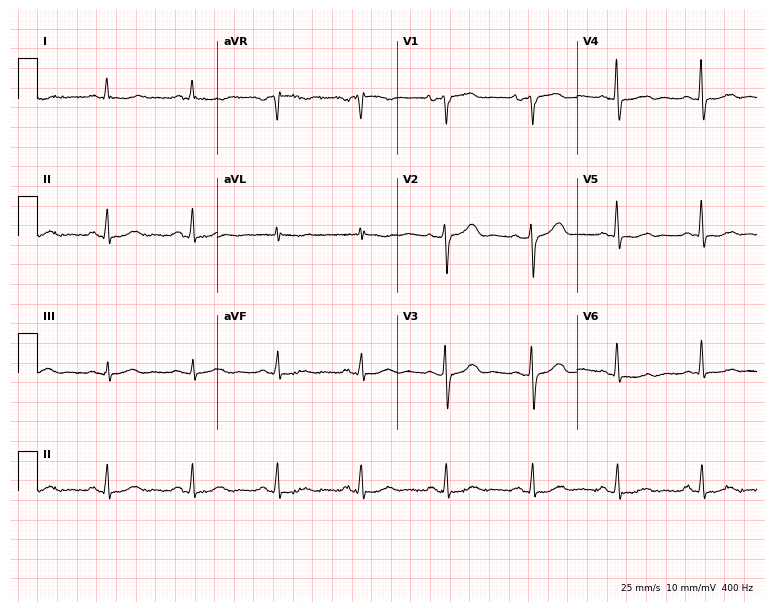
12-lead ECG (7.3-second recording at 400 Hz) from a female patient, 69 years old. Screened for six findings — first-degree AV block, right bundle branch block (RBBB), left bundle branch block (LBBB), sinus bradycardia, atrial fibrillation (AF), sinus tachycardia — none is recorded.